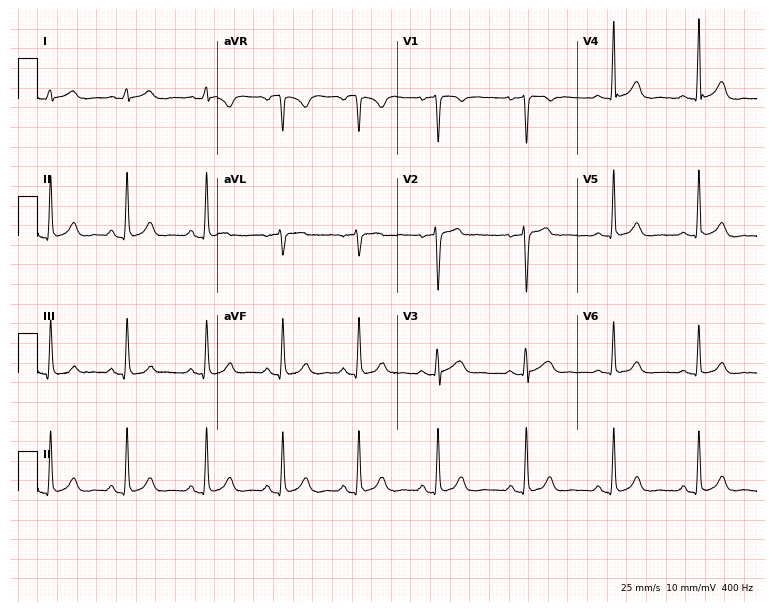
Electrocardiogram (7.3-second recording at 400 Hz), a man, 25 years old. Overall reading on record: normal ECG.